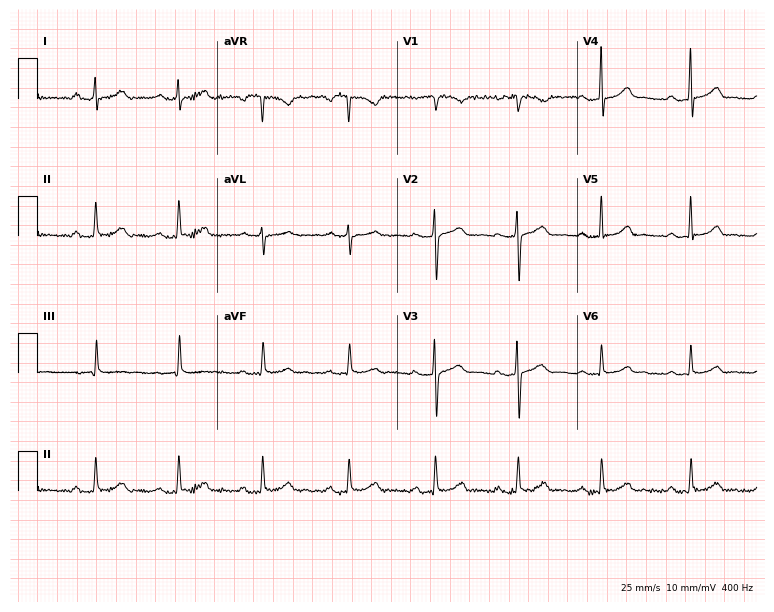
Electrocardiogram (7.3-second recording at 400 Hz), a 33-year-old female. Interpretation includes first-degree AV block.